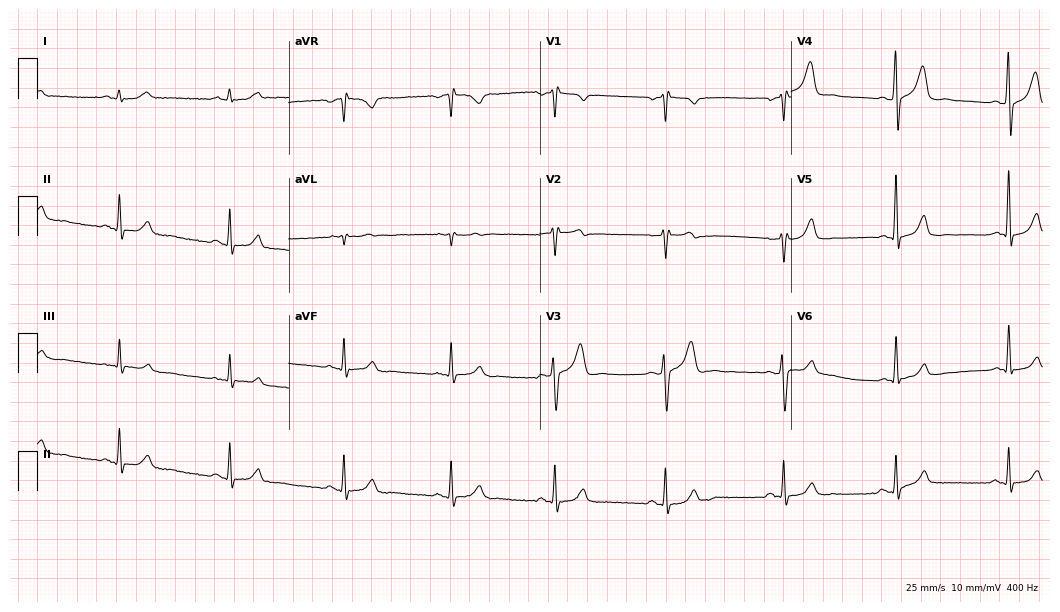
12-lead ECG from a 44-year-old male (10.2-second recording at 400 Hz). Recorded interpretation: within normal limits.